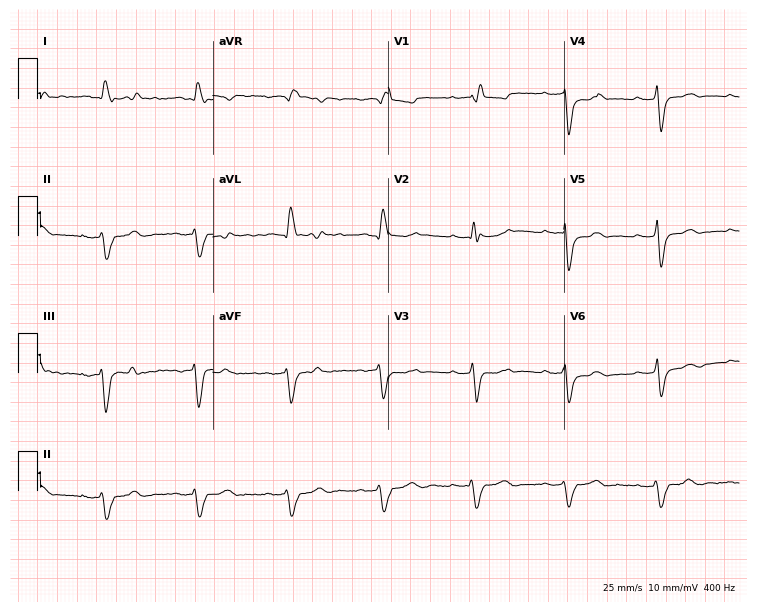
ECG — a male, 69 years old. Screened for six findings — first-degree AV block, right bundle branch block, left bundle branch block, sinus bradycardia, atrial fibrillation, sinus tachycardia — none is recorded.